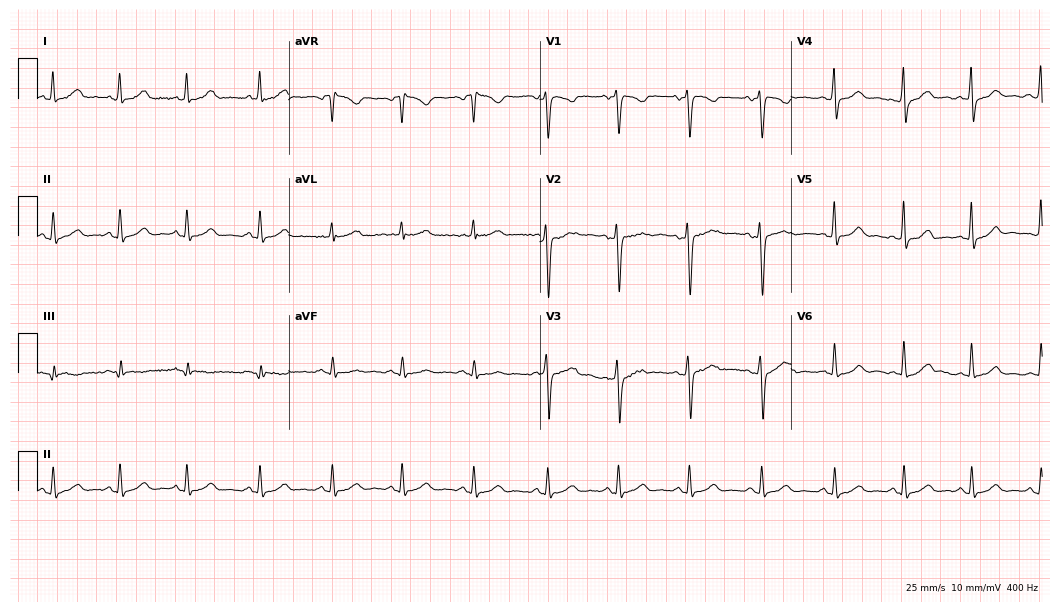
Standard 12-lead ECG recorded from a 29-year-old female patient. Read as a normal ECG.